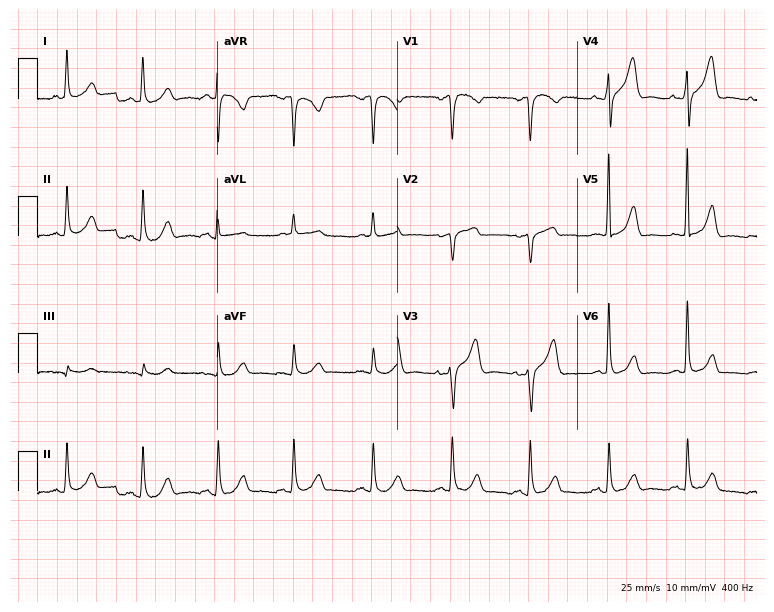
ECG — a female patient, 76 years old. Labelled as a normal ECG.